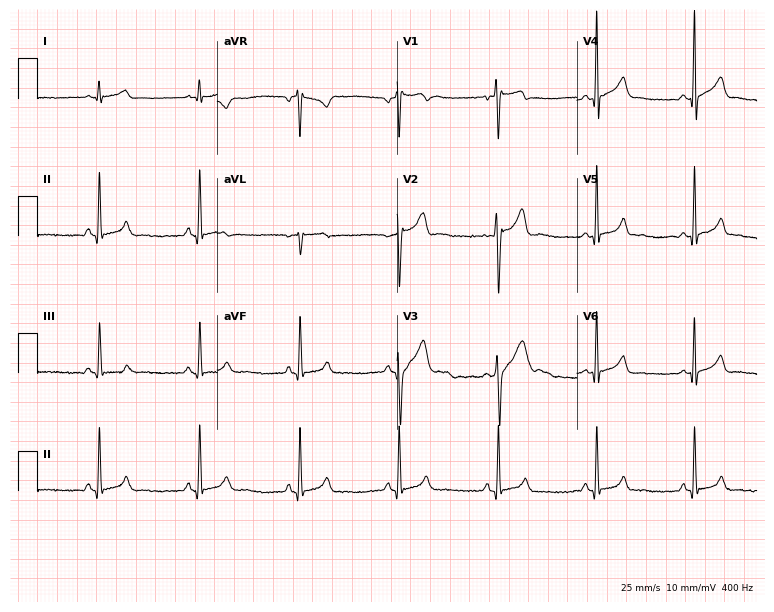
ECG — a male, 22 years old. Screened for six findings — first-degree AV block, right bundle branch block, left bundle branch block, sinus bradycardia, atrial fibrillation, sinus tachycardia — none is recorded. Other findings, if any, are not listed.